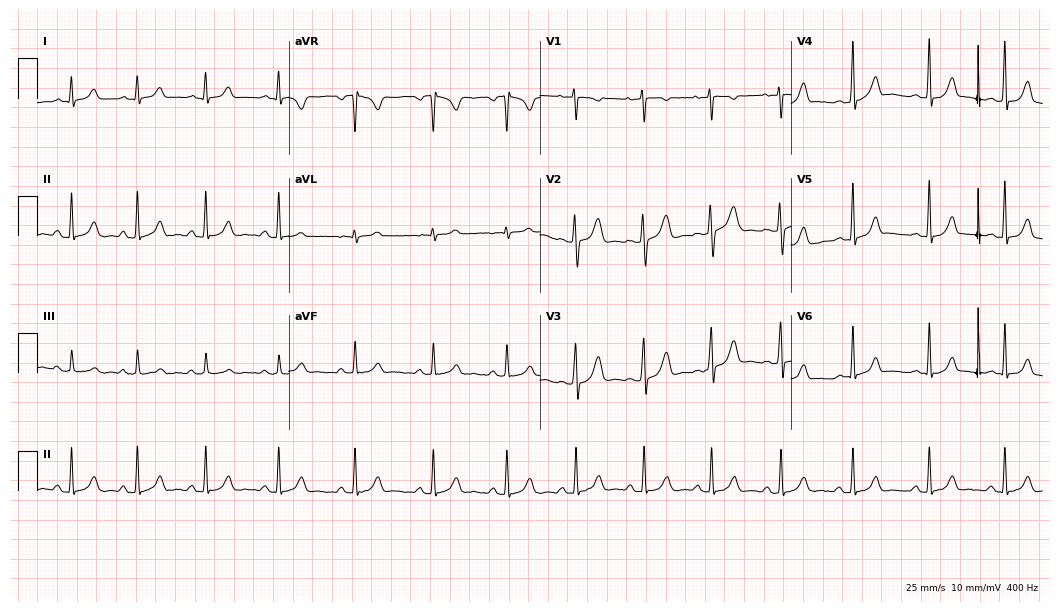
12-lead ECG from a female, 19 years old. Labelled as a normal ECG.